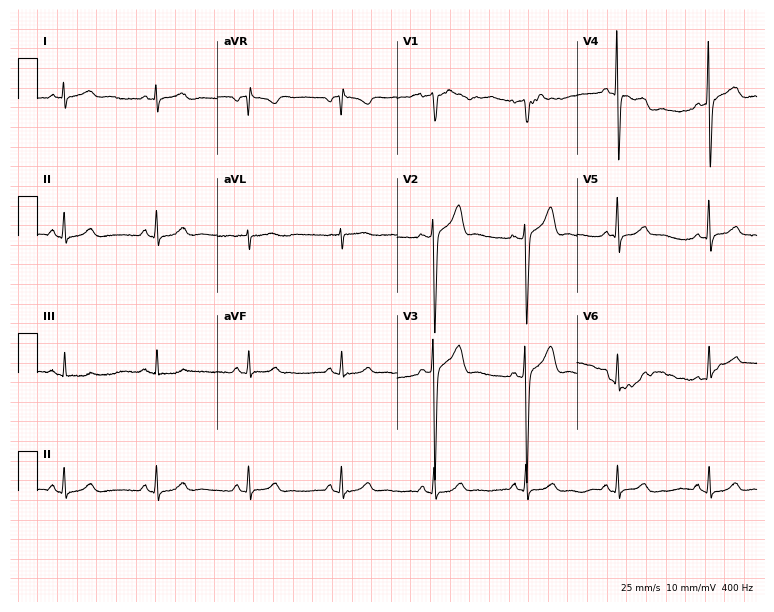
Electrocardiogram, a man, 58 years old. Overall reading on record: normal ECG.